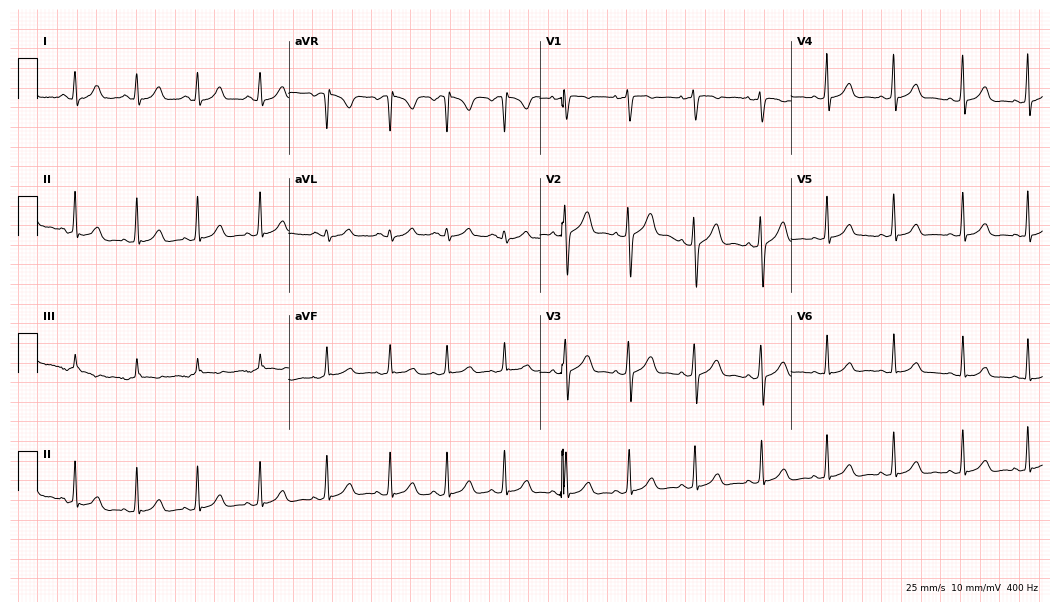
Resting 12-lead electrocardiogram (10.2-second recording at 400 Hz). Patient: a female, 25 years old. None of these six findings is recorded: first-degree AV block, right bundle branch block, left bundle branch block, sinus bradycardia, atrial fibrillation, sinus tachycardia. Only these six findings were labelled.